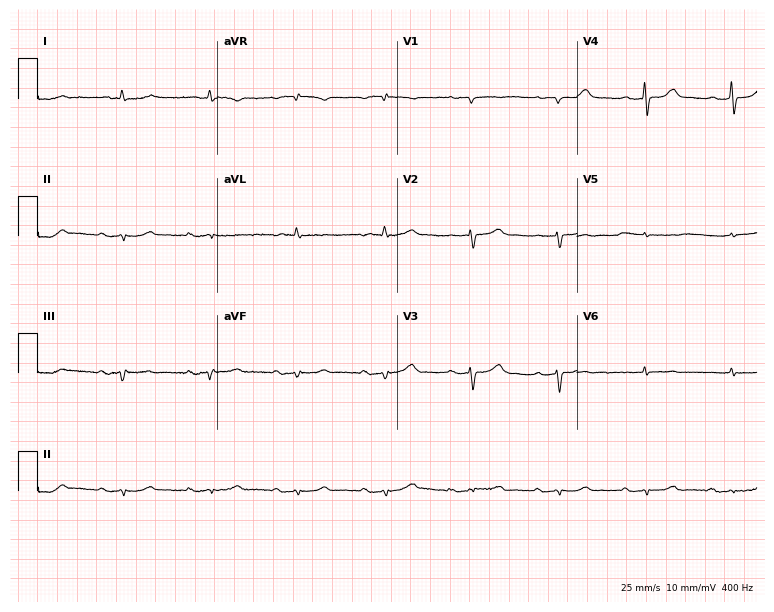
Electrocardiogram, a male, 85 years old. Interpretation includes first-degree AV block.